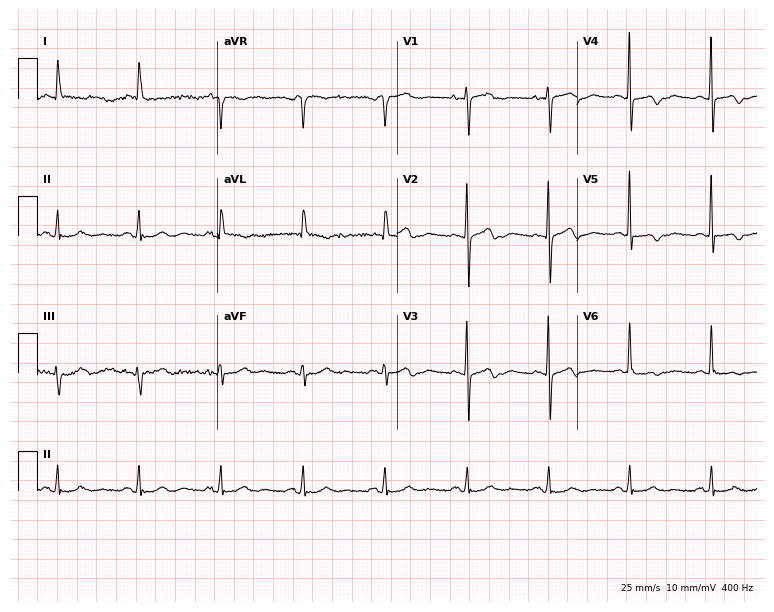
Electrocardiogram, a female patient, 81 years old. Of the six screened findings (first-degree AV block, right bundle branch block, left bundle branch block, sinus bradycardia, atrial fibrillation, sinus tachycardia), none is recorded. Other findings, if any, are not listed.